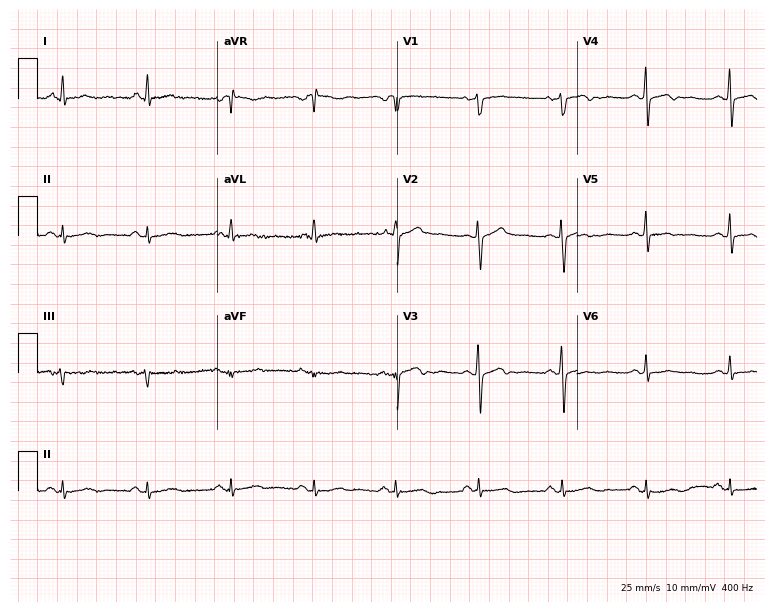
12-lead ECG from a 55-year-old man. Recorded interpretation: within normal limits.